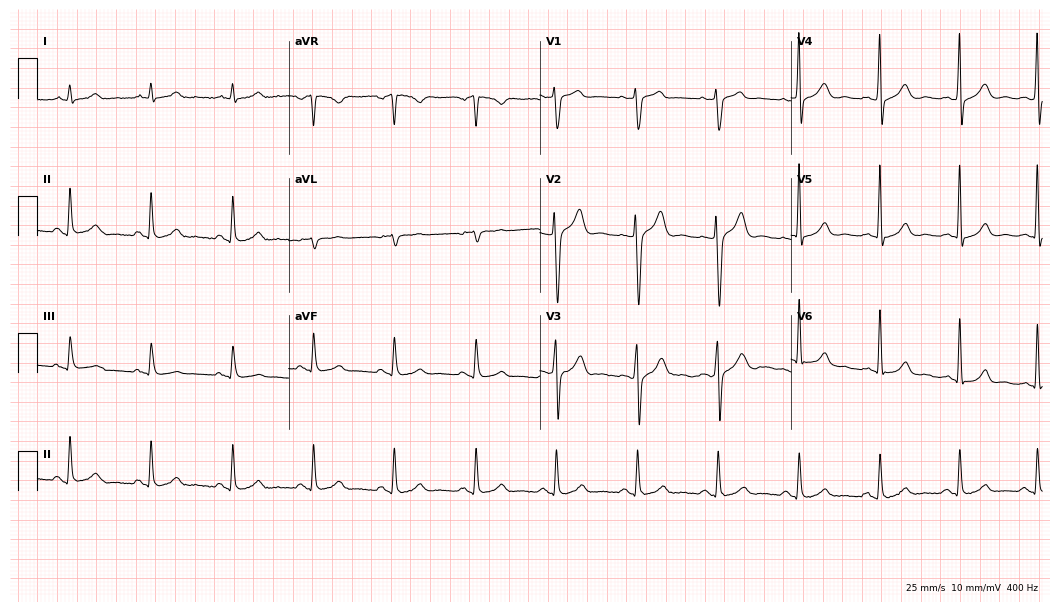
Resting 12-lead electrocardiogram. Patient: a man, 50 years old. Read as a normal ECG.